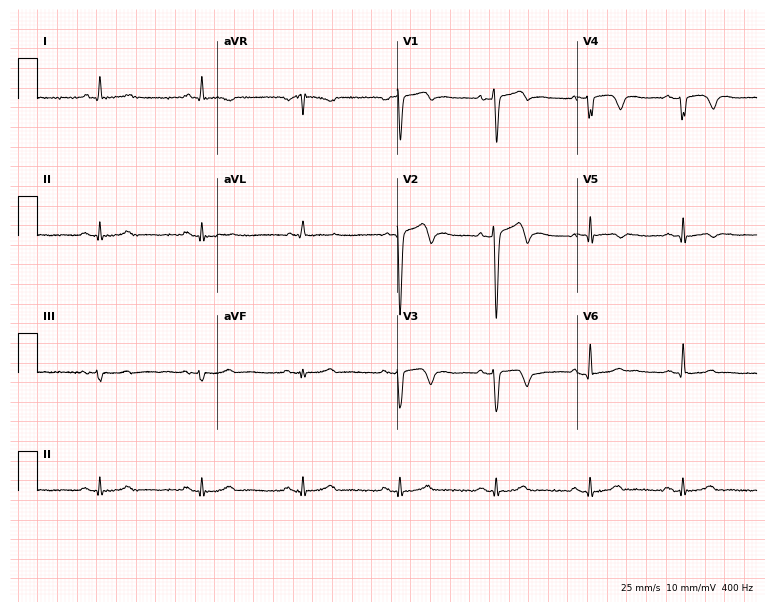
Standard 12-lead ECG recorded from a 60-year-old female (7.3-second recording at 400 Hz). None of these six findings is recorded: first-degree AV block, right bundle branch block, left bundle branch block, sinus bradycardia, atrial fibrillation, sinus tachycardia.